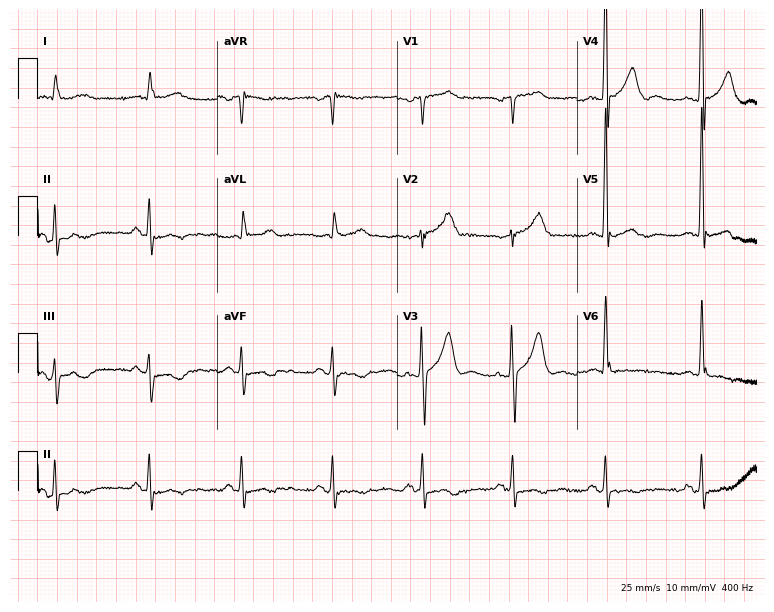
Resting 12-lead electrocardiogram. Patient: a male, 71 years old. None of these six findings is recorded: first-degree AV block, right bundle branch block, left bundle branch block, sinus bradycardia, atrial fibrillation, sinus tachycardia. Only these six findings were labelled.